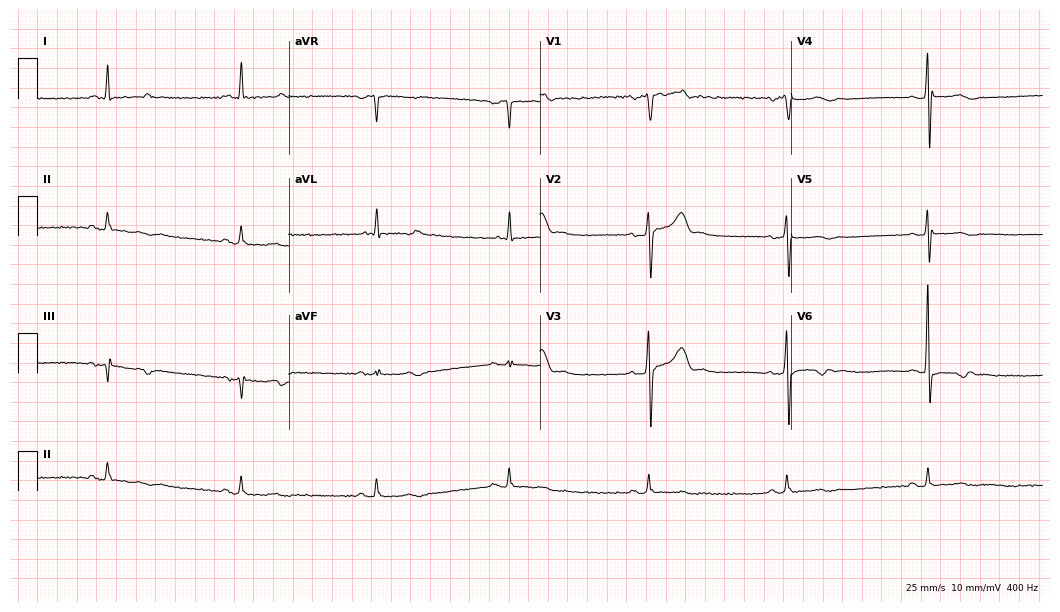
12-lead ECG (10.2-second recording at 400 Hz) from a man, 55 years old. Findings include sinus bradycardia (a sinus rate of 50 beats per minute or less).